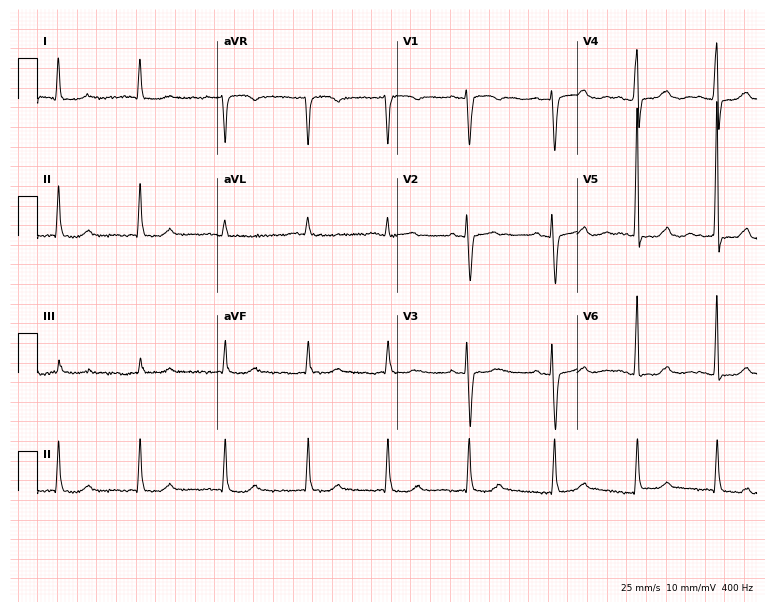
Standard 12-lead ECG recorded from a 78-year-old woman (7.3-second recording at 400 Hz). None of these six findings is recorded: first-degree AV block, right bundle branch block, left bundle branch block, sinus bradycardia, atrial fibrillation, sinus tachycardia.